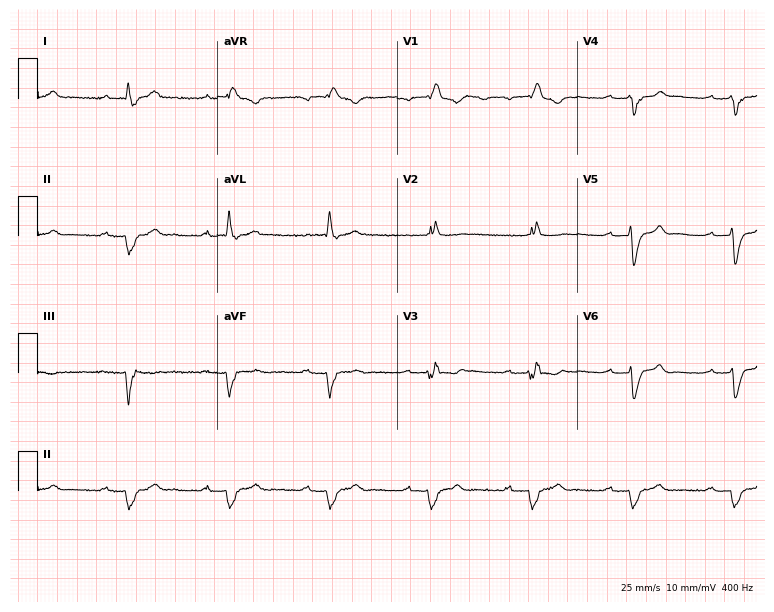
Standard 12-lead ECG recorded from a man, 77 years old (7.3-second recording at 400 Hz). The tracing shows first-degree AV block, right bundle branch block (RBBB).